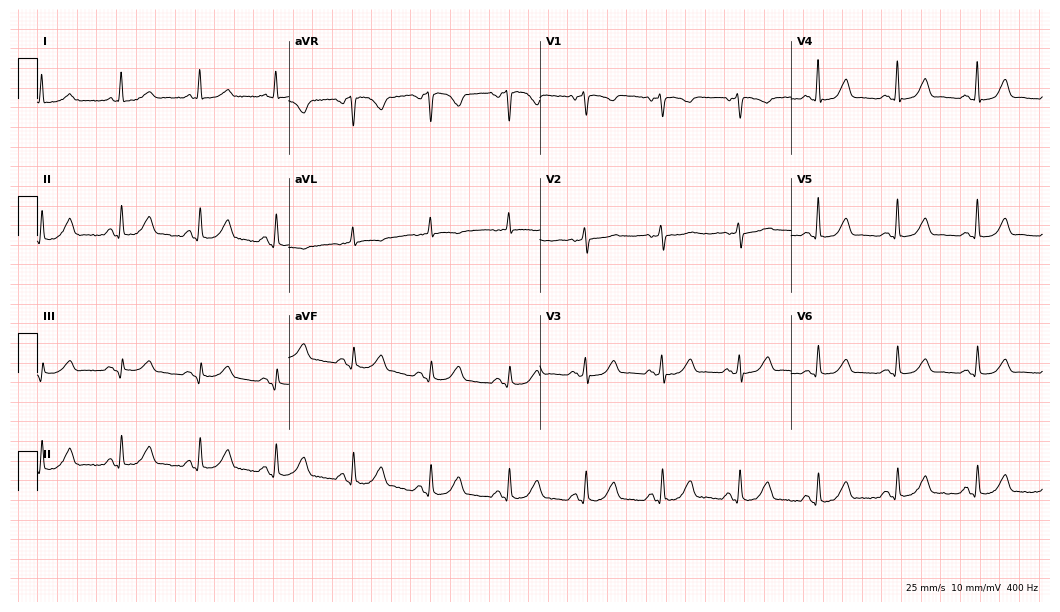
Resting 12-lead electrocardiogram. Patient: a female, 64 years old. Read as a normal ECG.